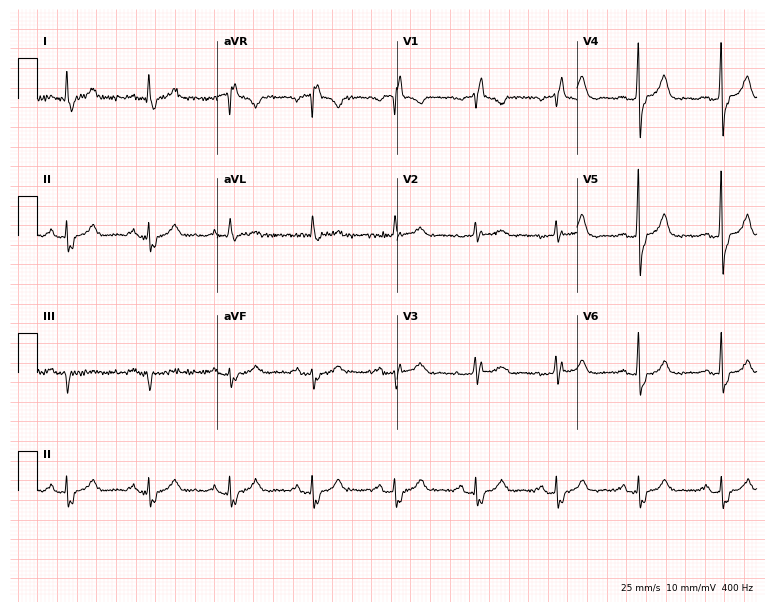
12-lead ECG (7.3-second recording at 400 Hz) from a 69-year-old female. Findings include right bundle branch block.